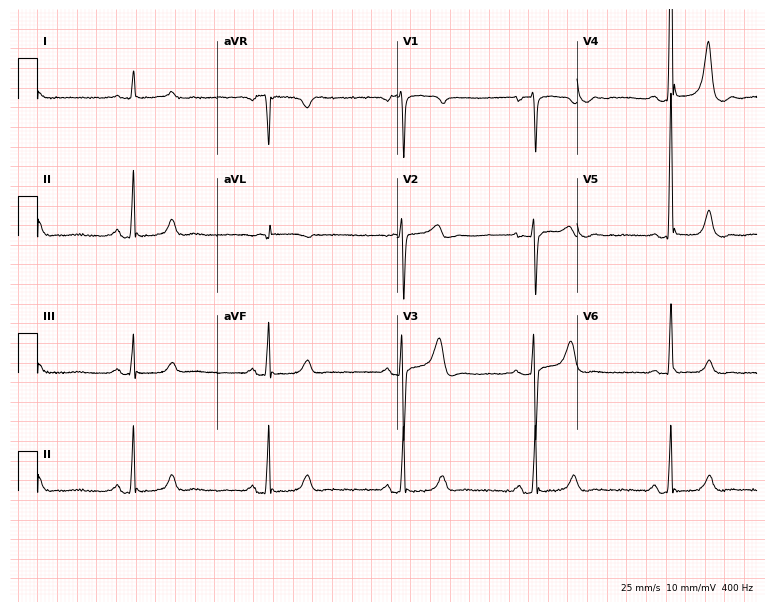
12-lead ECG from a female patient, 84 years old. Shows sinus bradycardia (a sinus rate of 50 beats per minute or less).